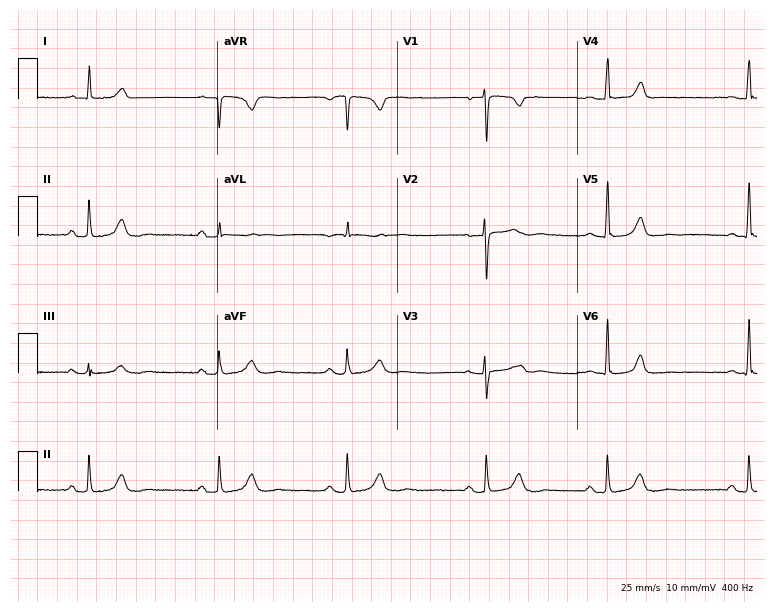
ECG — a woman, 49 years old. Findings include sinus bradycardia (a sinus rate of 50 beats per minute or less).